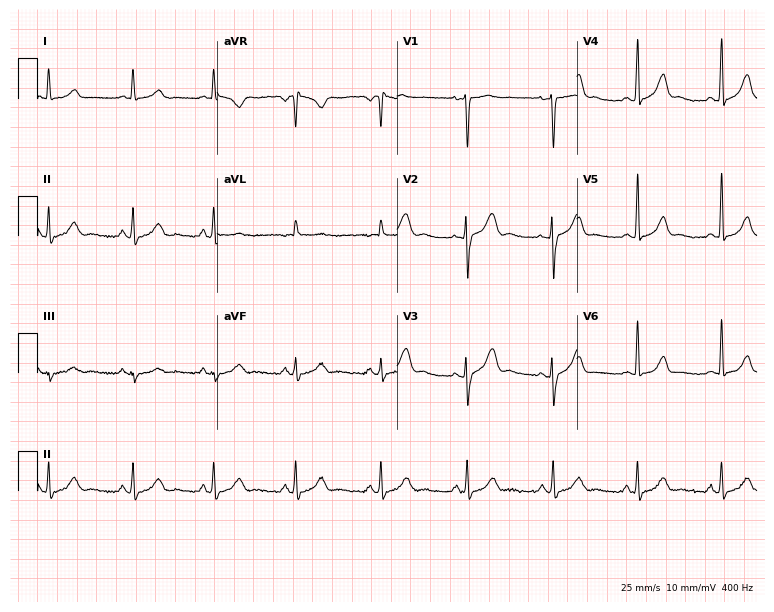
ECG (7.3-second recording at 400 Hz) — a 28-year-old female patient. Screened for six findings — first-degree AV block, right bundle branch block (RBBB), left bundle branch block (LBBB), sinus bradycardia, atrial fibrillation (AF), sinus tachycardia — none is recorded.